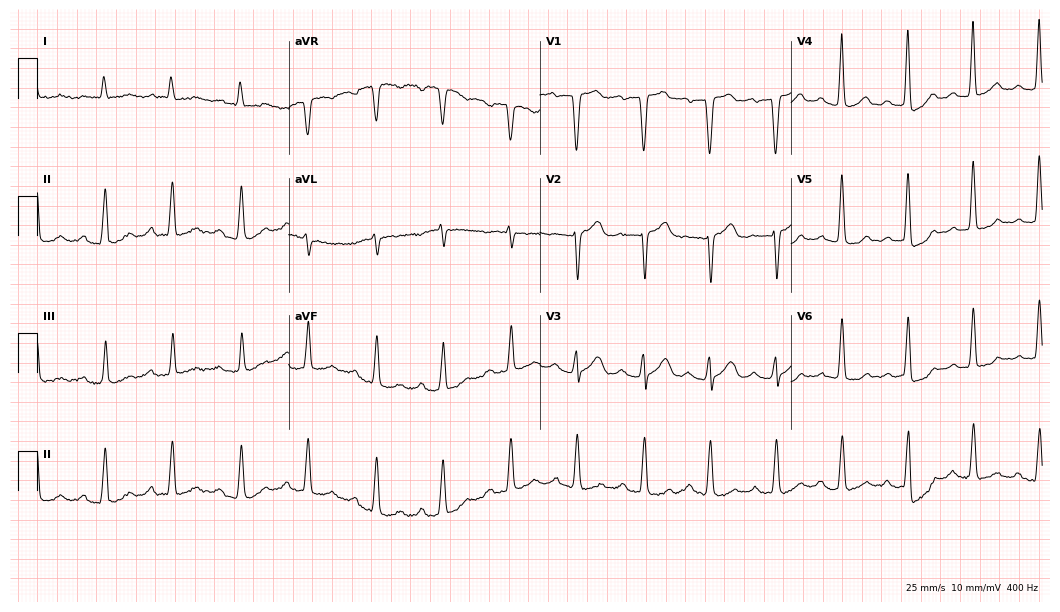
Resting 12-lead electrocardiogram (10.2-second recording at 400 Hz). Patient: a female, 67 years old. Read as a normal ECG.